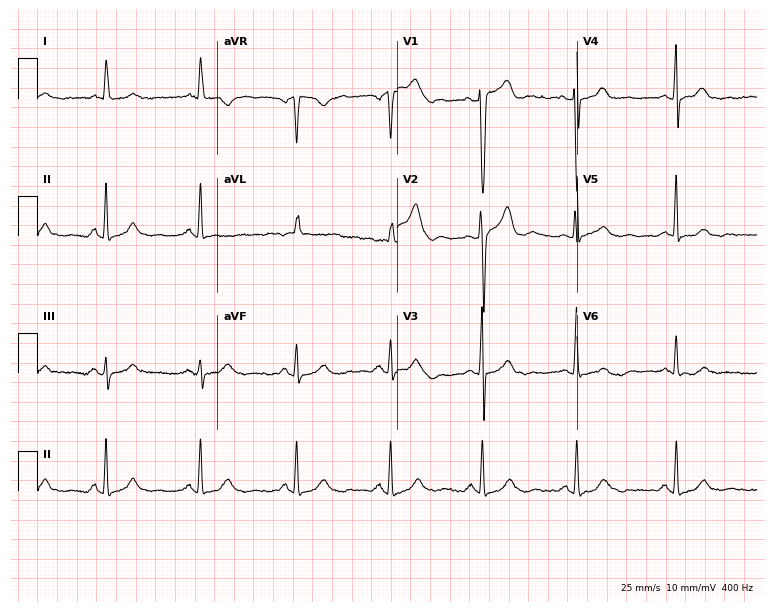
12-lead ECG from a 57-year-old male. Screened for six findings — first-degree AV block, right bundle branch block, left bundle branch block, sinus bradycardia, atrial fibrillation, sinus tachycardia — none is recorded. Other findings, if any, are not listed.